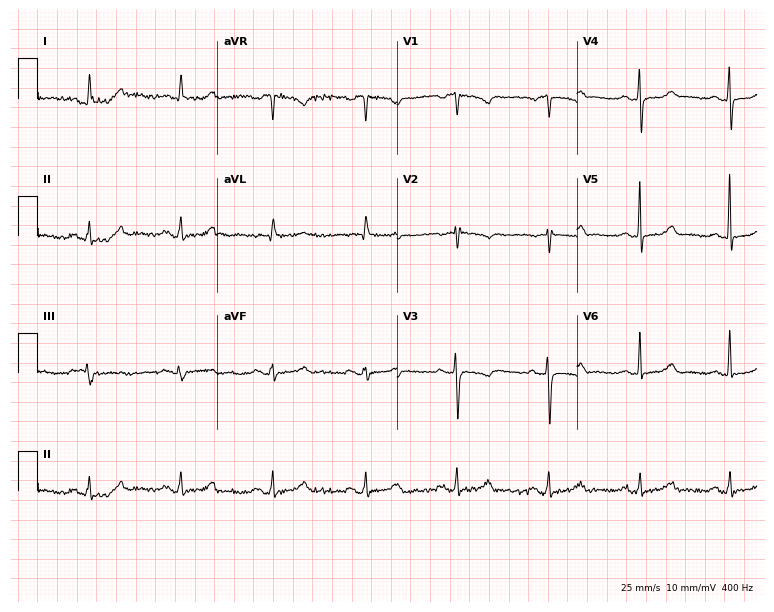
Electrocardiogram, a woman, 74 years old. Overall reading on record: normal ECG.